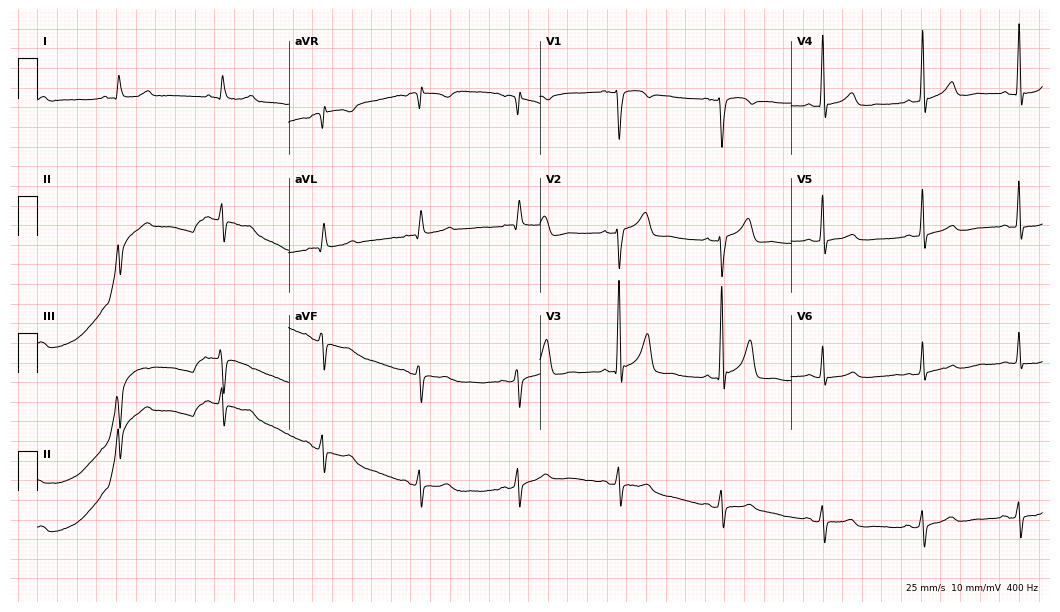
Electrocardiogram (10.2-second recording at 400 Hz), a 71-year-old man. Of the six screened findings (first-degree AV block, right bundle branch block, left bundle branch block, sinus bradycardia, atrial fibrillation, sinus tachycardia), none is recorded.